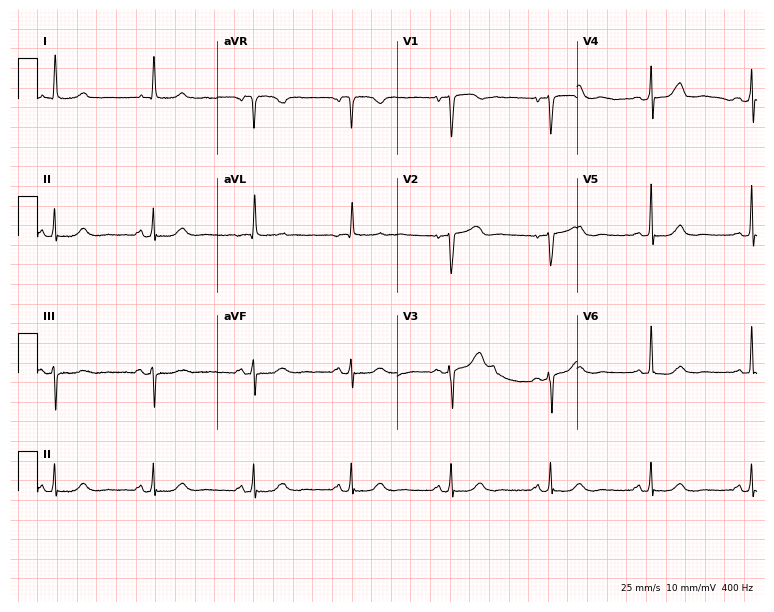
12-lead ECG from a female, 73 years old (7.3-second recording at 400 Hz). No first-degree AV block, right bundle branch block, left bundle branch block, sinus bradycardia, atrial fibrillation or sinus tachycardia recorded for this tracing.